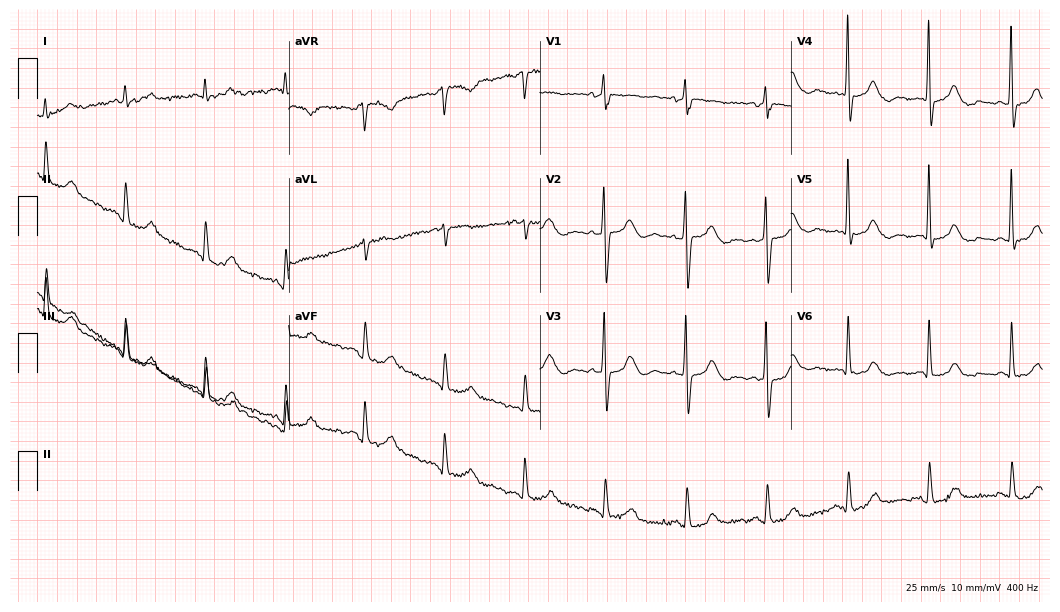
Resting 12-lead electrocardiogram. Patient: an 84-year-old female. Read as a normal ECG.